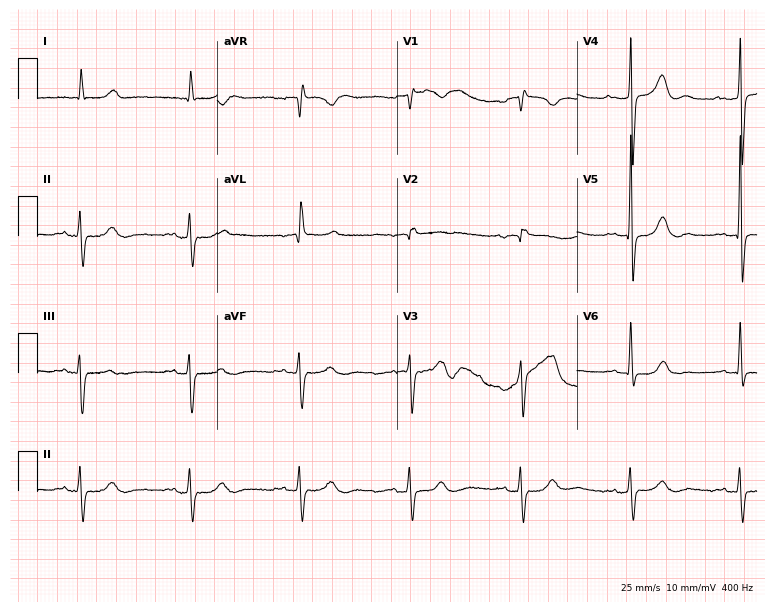
Resting 12-lead electrocardiogram. Patient: a man, 75 years old. None of these six findings is recorded: first-degree AV block, right bundle branch block, left bundle branch block, sinus bradycardia, atrial fibrillation, sinus tachycardia.